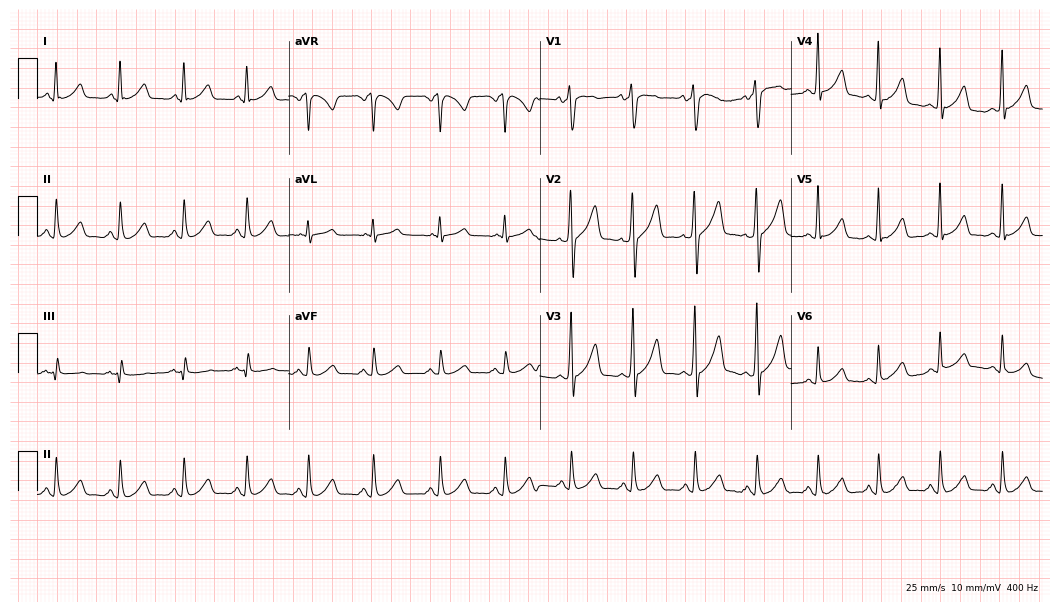
ECG (10.2-second recording at 400 Hz) — a 43-year-old male. Labelled as a normal ECG.